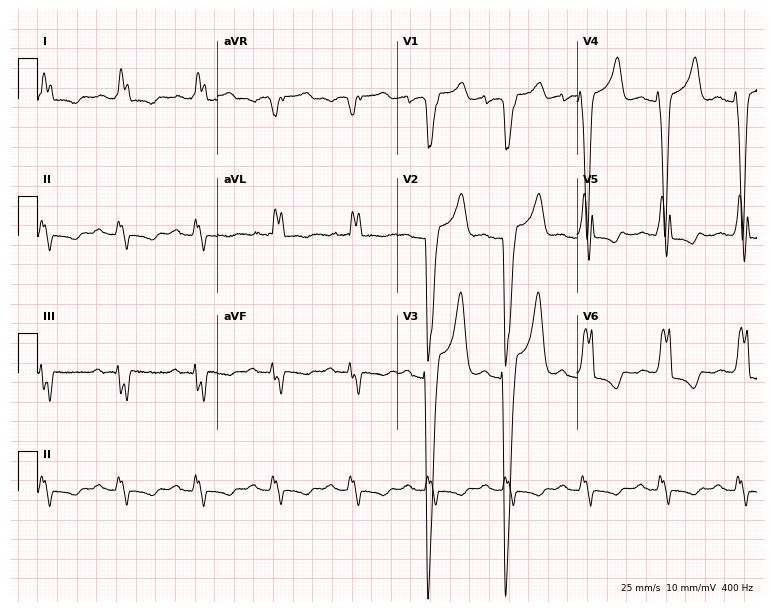
12-lead ECG from a 59-year-old woman. Findings include first-degree AV block, left bundle branch block.